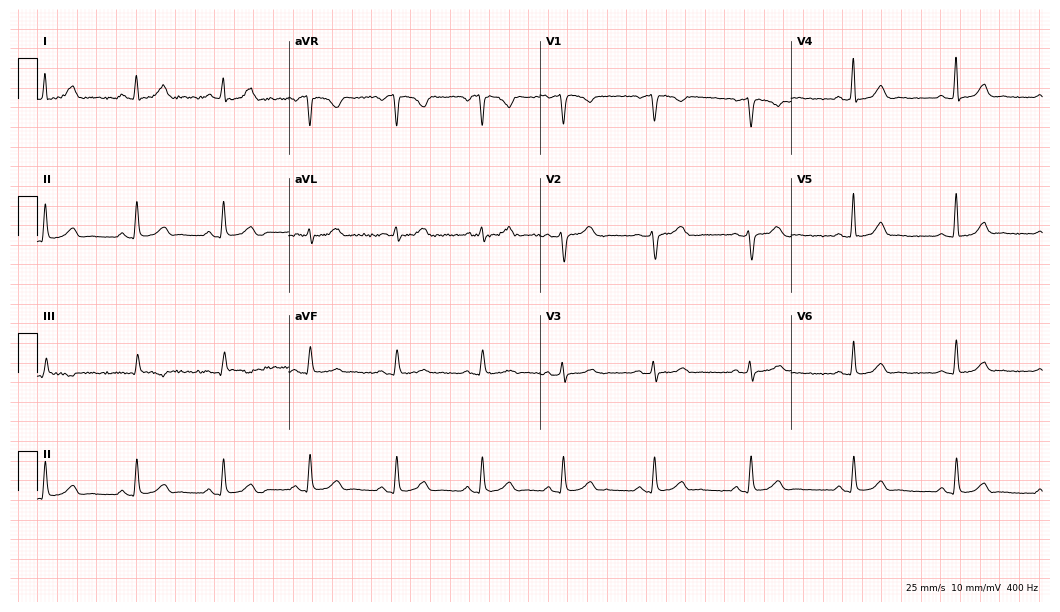
12-lead ECG from a woman, 37 years old. Recorded interpretation: within normal limits.